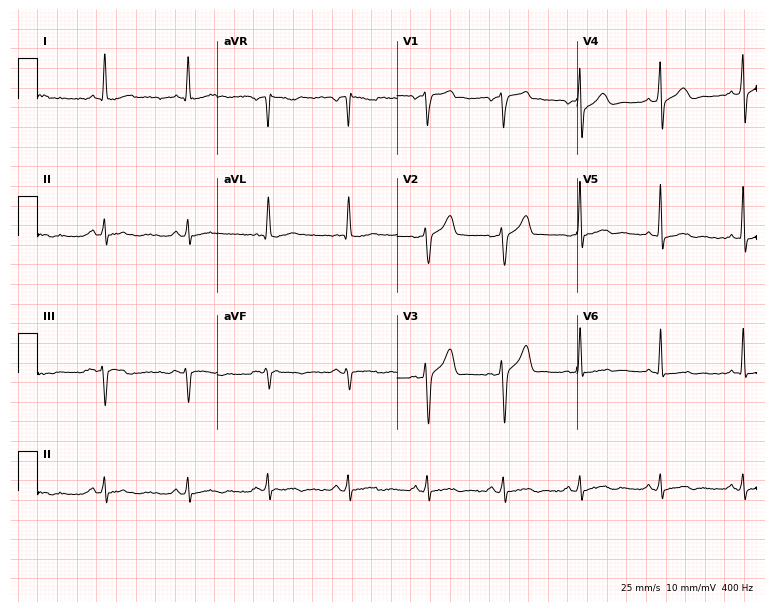
12-lead ECG from a 53-year-old male patient (7.3-second recording at 400 Hz). No first-degree AV block, right bundle branch block, left bundle branch block, sinus bradycardia, atrial fibrillation or sinus tachycardia recorded for this tracing. Only these six findings were labelled.